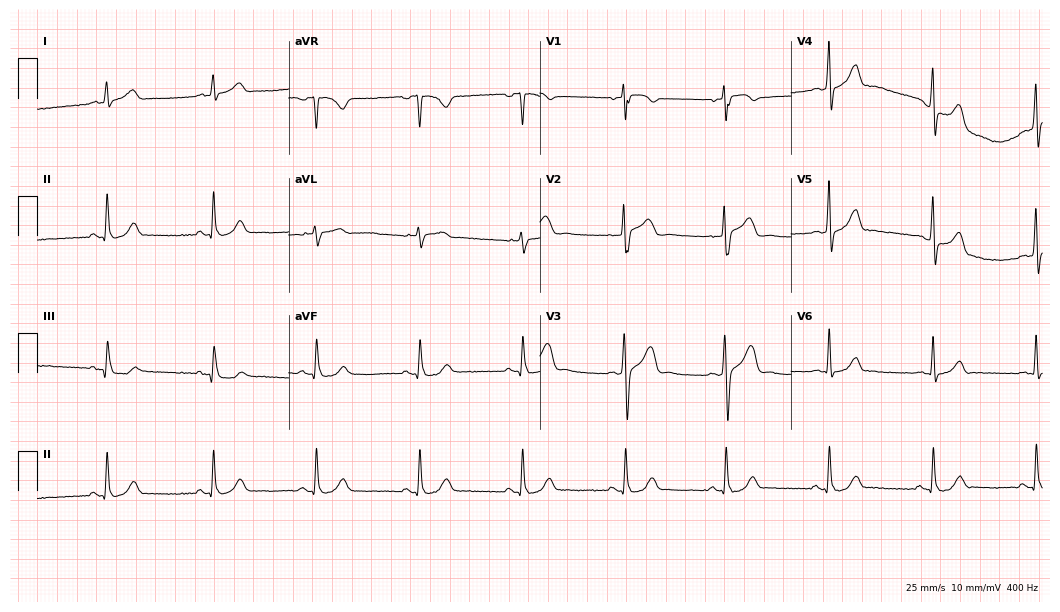
12-lead ECG from a male, 50 years old. Labelled as a normal ECG.